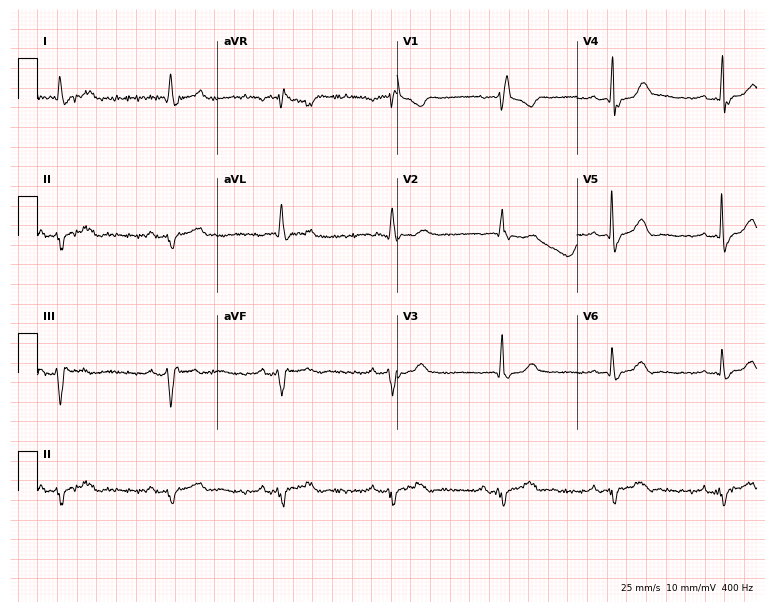
Resting 12-lead electrocardiogram (7.3-second recording at 400 Hz). Patient: a man, 74 years old. The tracing shows right bundle branch block.